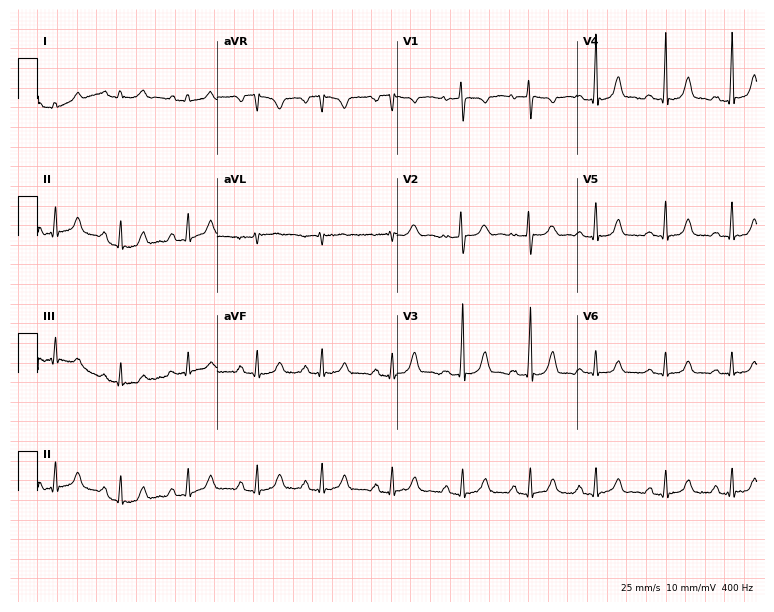
12-lead ECG (7.3-second recording at 400 Hz) from a female patient, 18 years old. Labelled as a normal ECG.